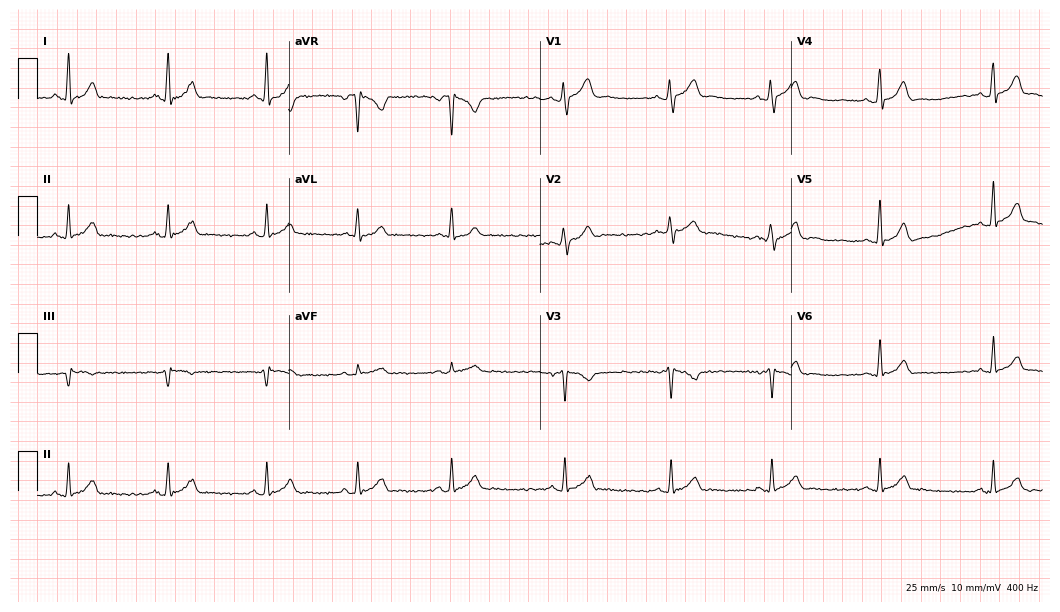
ECG — an 18-year-old male. Labelled as a normal ECG.